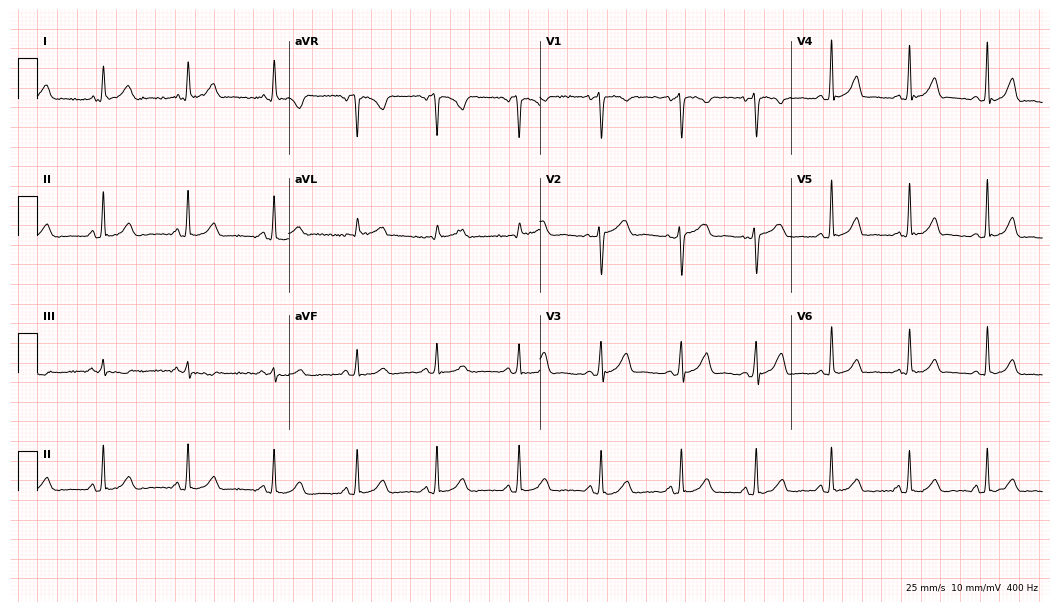
Electrocardiogram, a female patient, 34 years old. Overall reading on record: normal ECG.